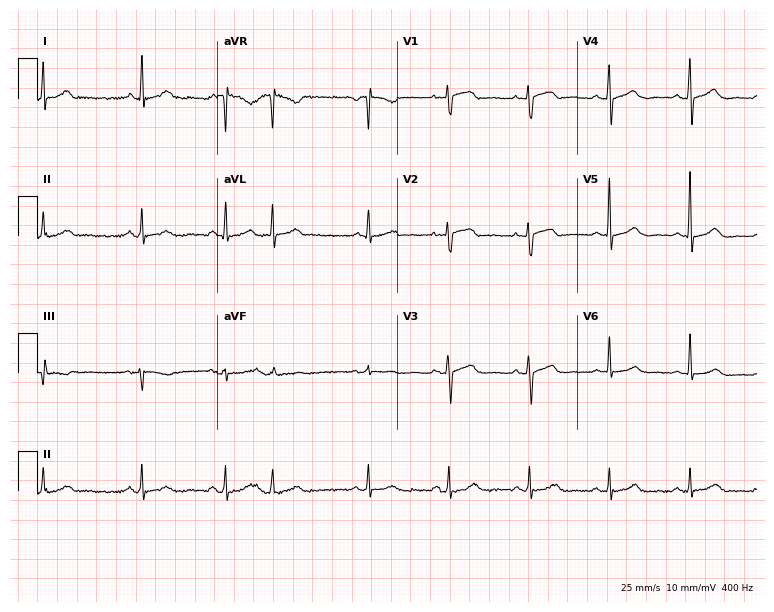
12-lead ECG (7.3-second recording at 400 Hz) from a woman, 63 years old. Screened for six findings — first-degree AV block, right bundle branch block, left bundle branch block, sinus bradycardia, atrial fibrillation, sinus tachycardia — none is recorded.